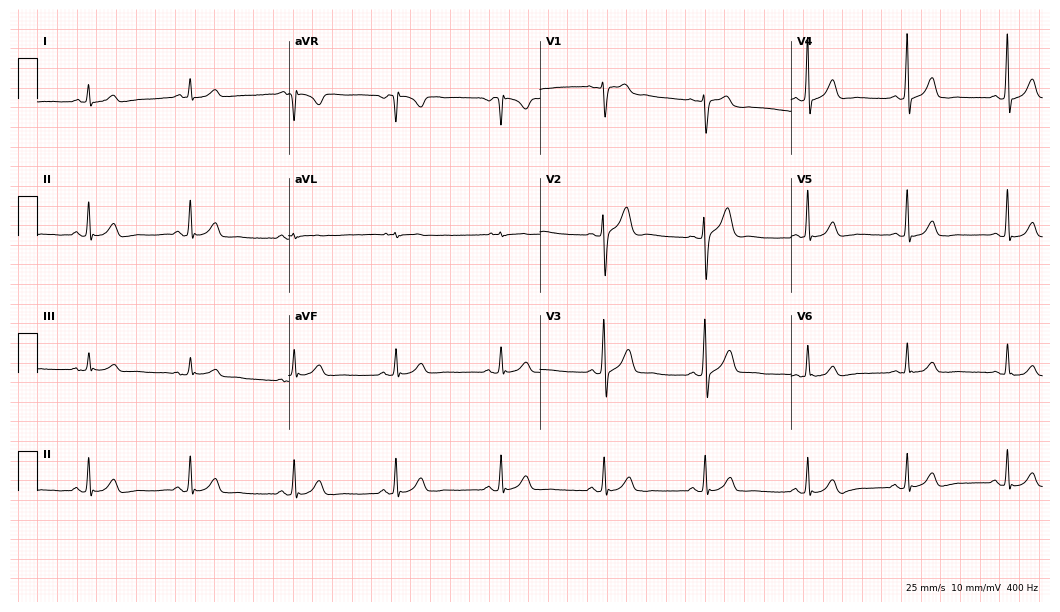
Resting 12-lead electrocardiogram. Patient: a man, 49 years old. Read as a normal ECG.